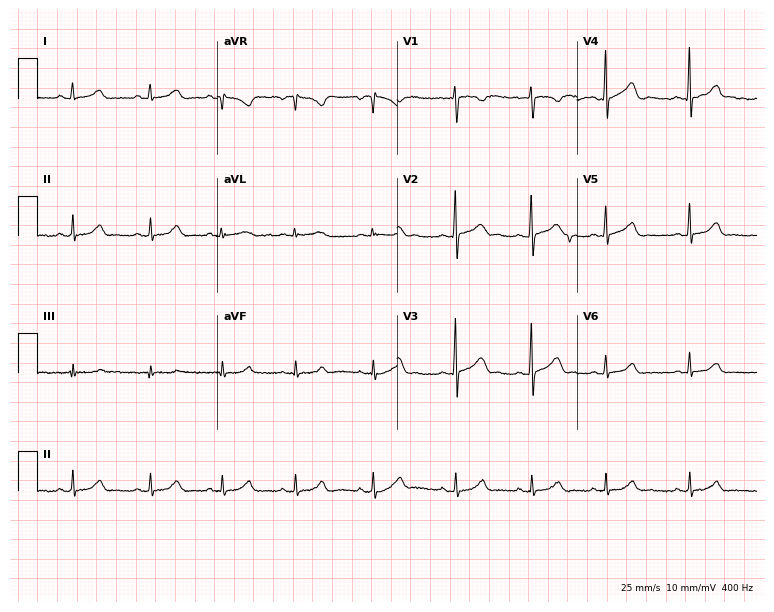
Electrocardiogram, a female, 17 years old. Overall reading on record: normal ECG.